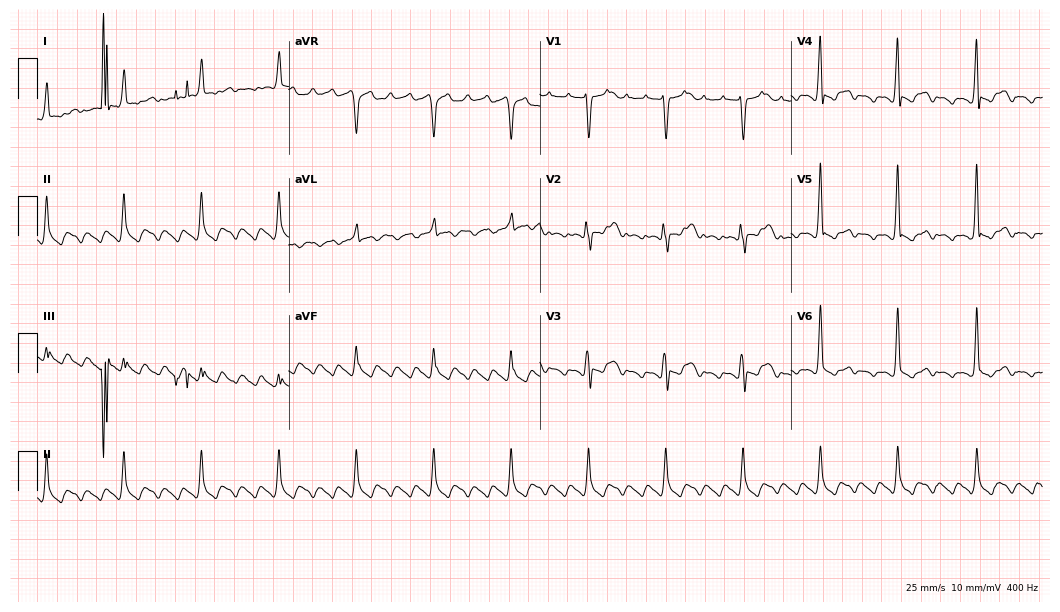
12-lead ECG from a 63-year-old male. No first-degree AV block, right bundle branch block, left bundle branch block, sinus bradycardia, atrial fibrillation or sinus tachycardia recorded for this tracing. Findings outside these six are not listed.